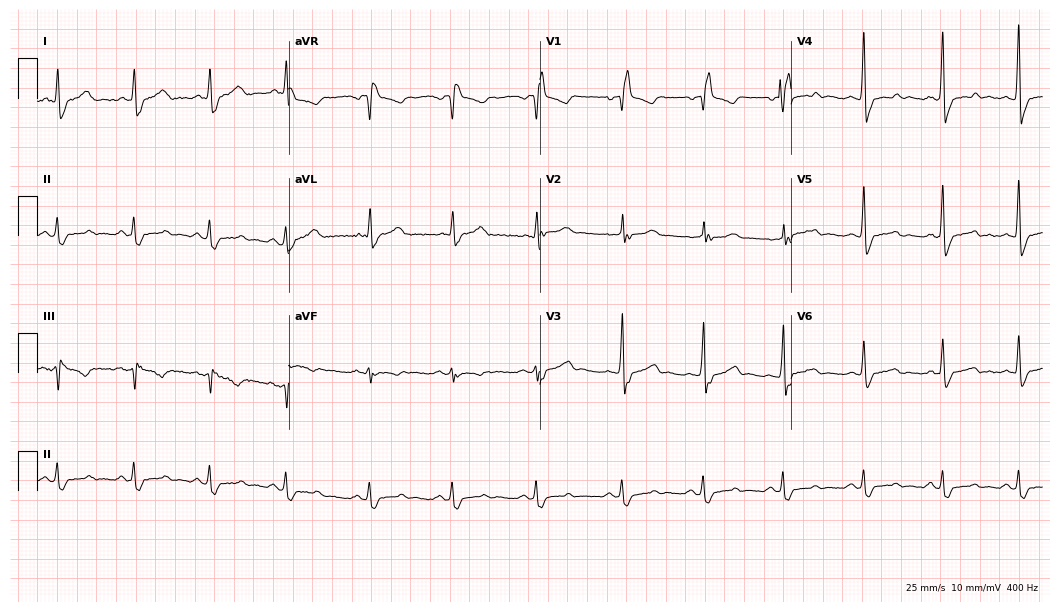
Resting 12-lead electrocardiogram. Patient: a man, 68 years old. The tracing shows right bundle branch block.